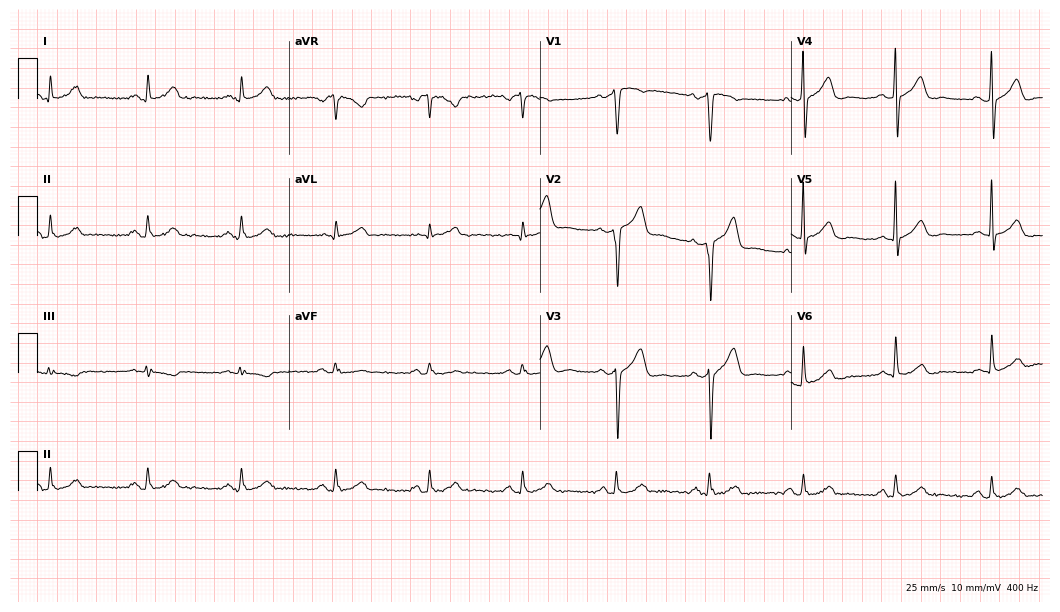
Electrocardiogram, a man, 56 years old. Overall reading on record: normal ECG.